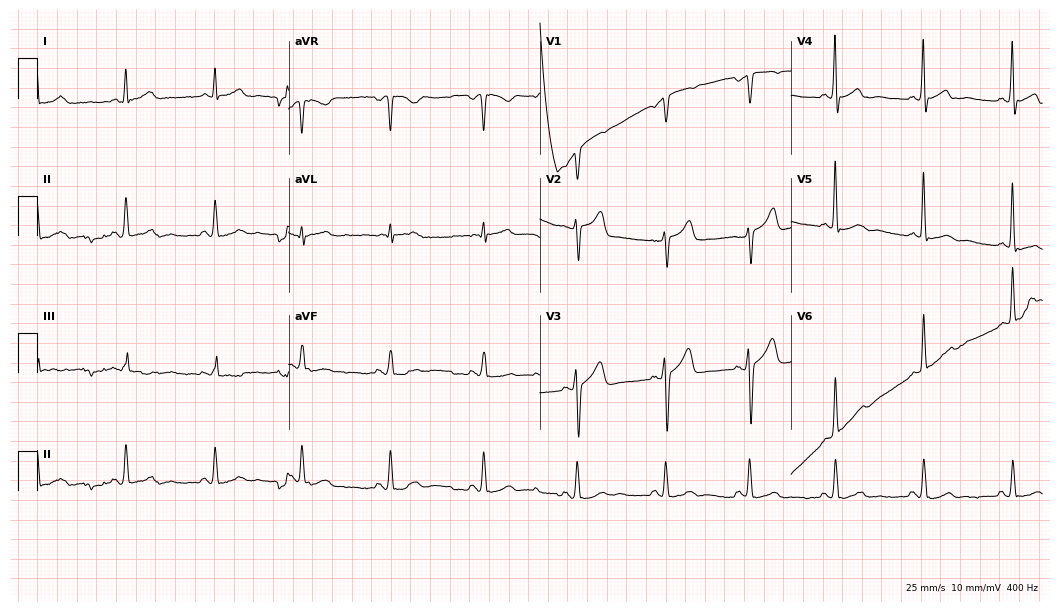
Resting 12-lead electrocardiogram. Patient: a male, 42 years old. None of these six findings is recorded: first-degree AV block, right bundle branch block (RBBB), left bundle branch block (LBBB), sinus bradycardia, atrial fibrillation (AF), sinus tachycardia. Only these six findings were labelled.